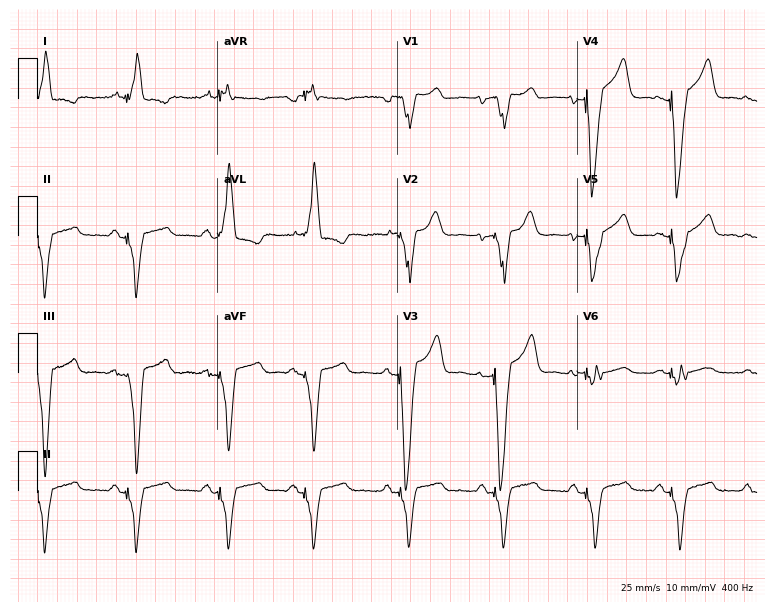
Standard 12-lead ECG recorded from a female patient, 60 years old (7.3-second recording at 400 Hz). The tracing shows left bundle branch block (LBBB).